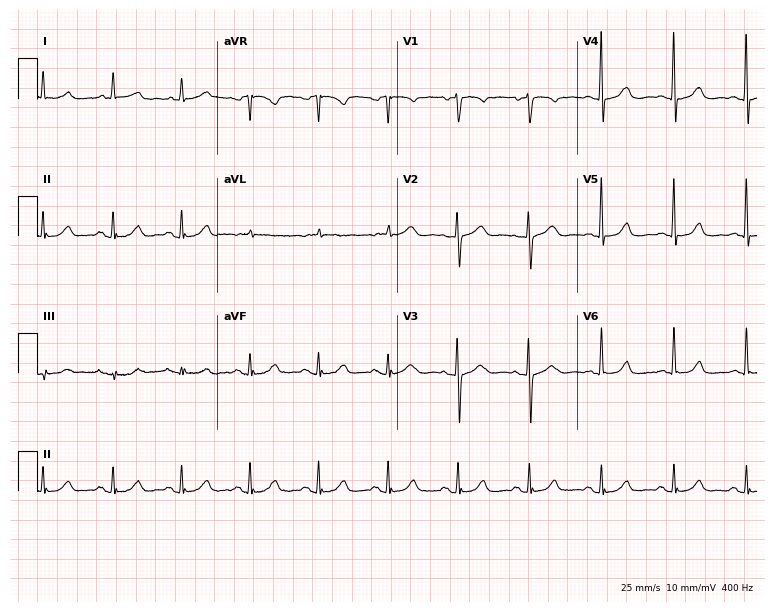
12-lead ECG (7.3-second recording at 400 Hz) from a 66-year-old female. Labelled as a normal ECG.